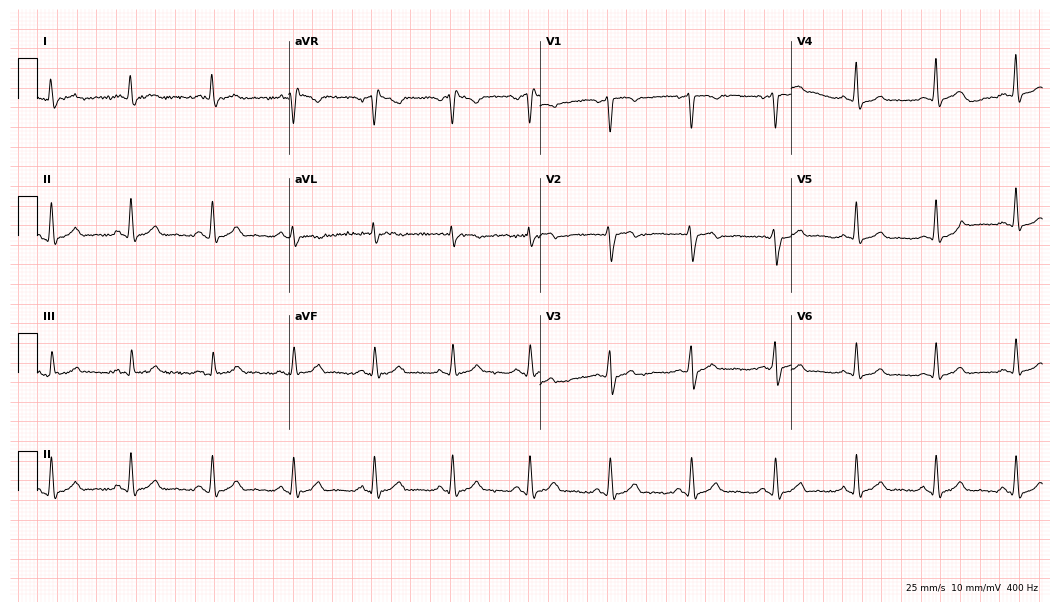
Electrocardiogram, a male, 51 years old. Of the six screened findings (first-degree AV block, right bundle branch block (RBBB), left bundle branch block (LBBB), sinus bradycardia, atrial fibrillation (AF), sinus tachycardia), none is recorded. Other findings, if any, are not listed.